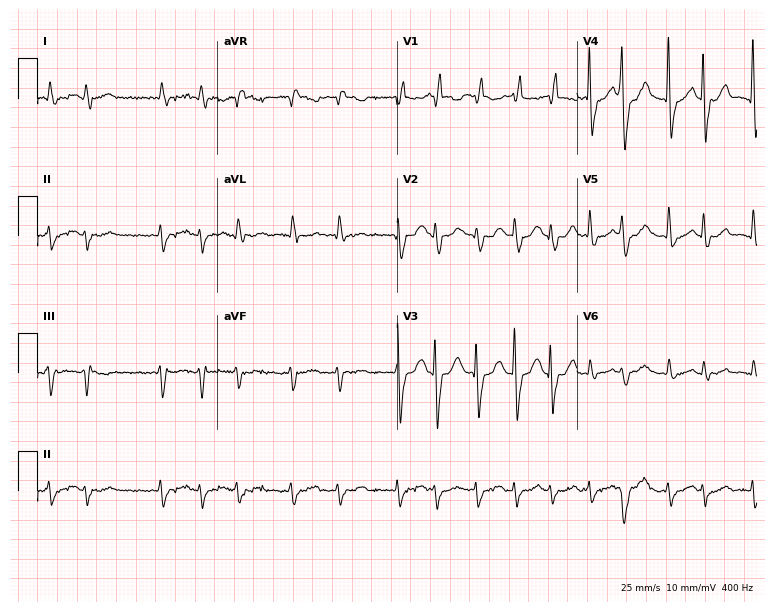
ECG (7.3-second recording at 400 Hz) — a female patient, 85 years old. Findings include right bundle branch block (RBBB), atrial fibrillation (AF).